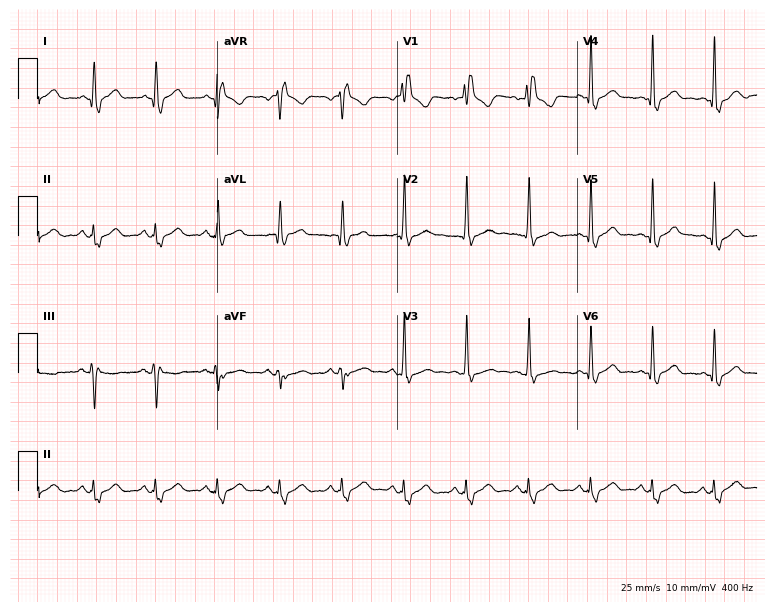
12-lead ECG from a 53-year-old female patient. Shows right bundle branch block (RBBB).